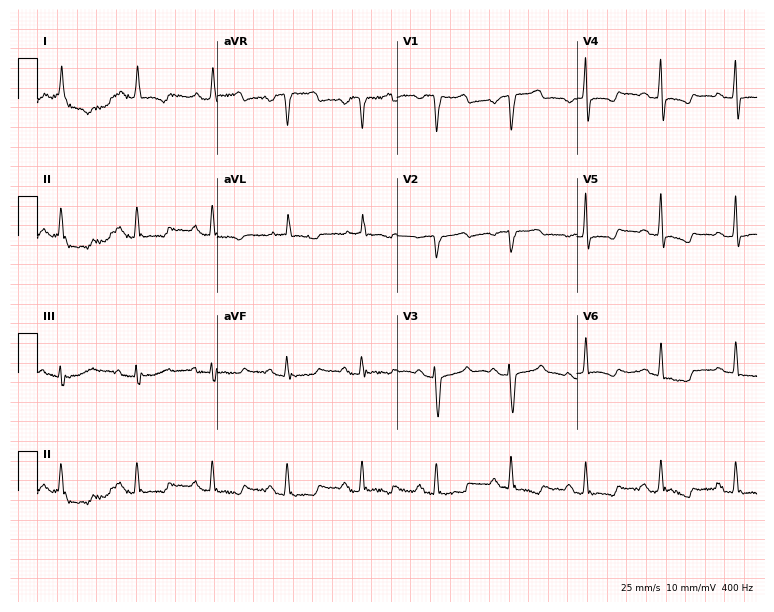
12-lead ECG from a 68-year-old man (7.3-second recording at 400 Hz). No first-degree AV block, right bundle branch block (RBBB), left bundle branch block (LBBB), sinus bradycardia, atrial fibrillation (AF) or sinus tachycardia recorded for this tracing. Only these six findings were labelled.